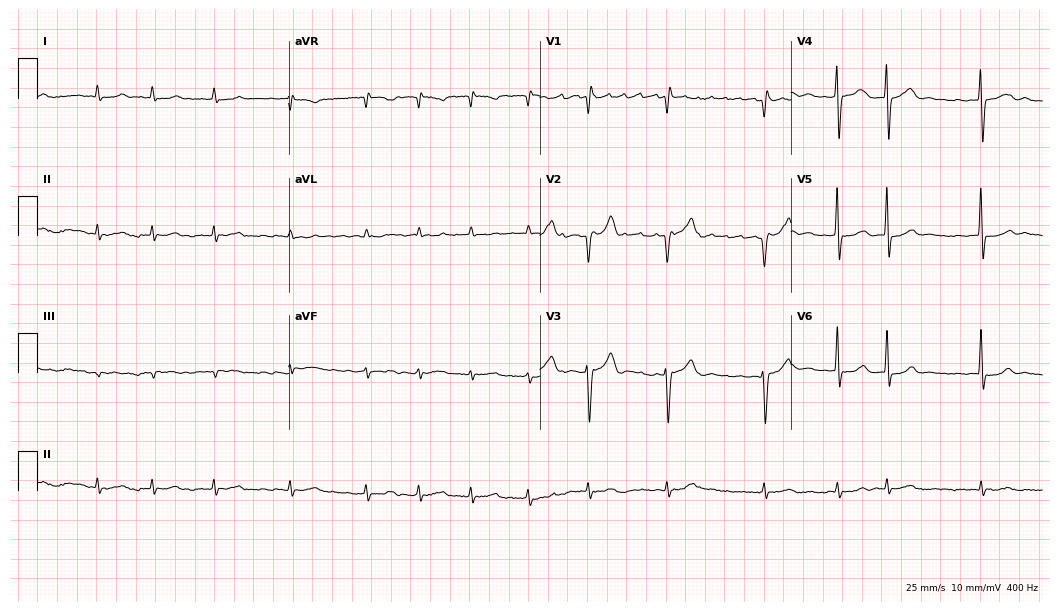
Electrocardiogram, a male, 89 years old. Interpretation includes atrial fibrillation (AF).